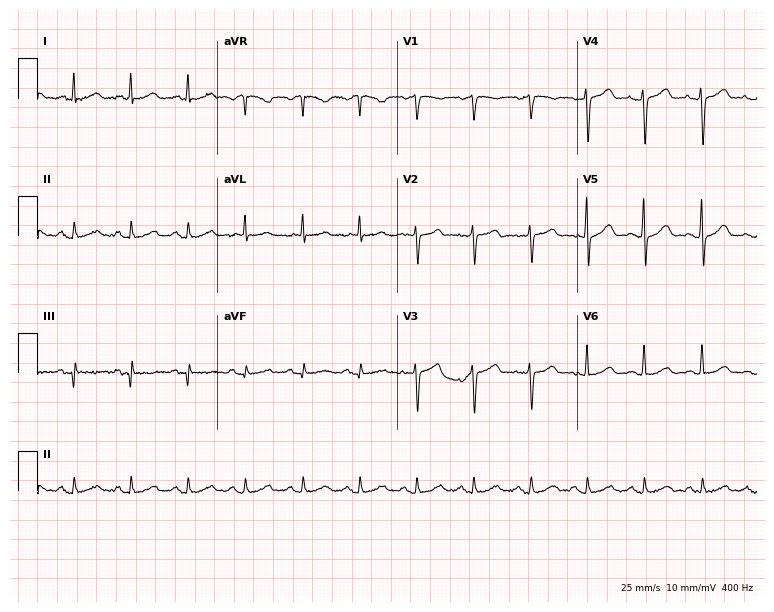
12-lead ECG from a 43-year-old woman (7.3-second recording at 400 Hz). Shows sinus tachycardia (a sinus rate of 100 beats per minute or more).